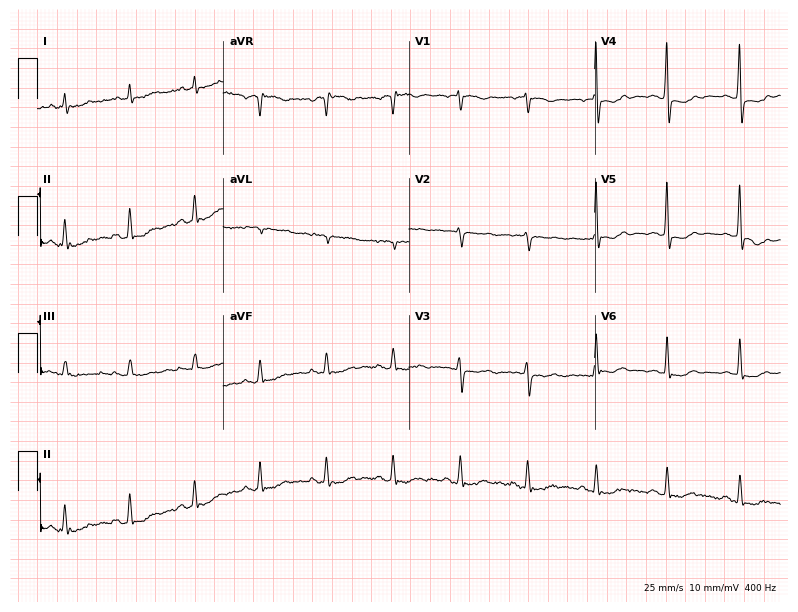
ECG (7.6-second recording at 400 Hz) — a 79-year-old female patient. Screened for six findings — first-degree AV block, right bundle branch block, left bundle branch block, sinus bradycardia, atrial fibrillation, sinus tachycardia — none is recorded.